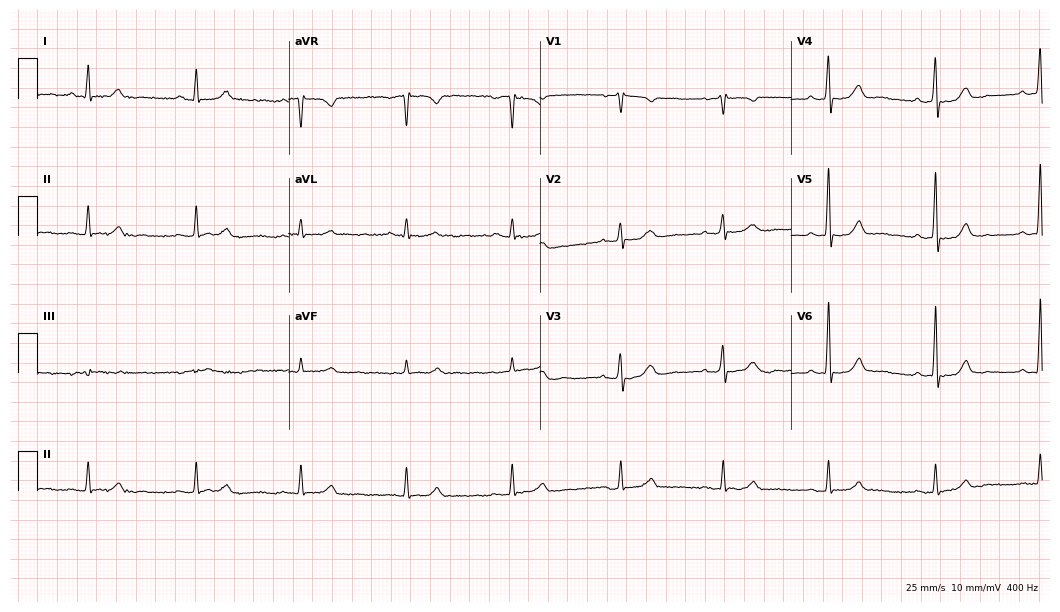
Electrocardiogram (10.2-second recording at 400 Hz), a female patient, 65 years old. Overall reading on record: normal ECG.